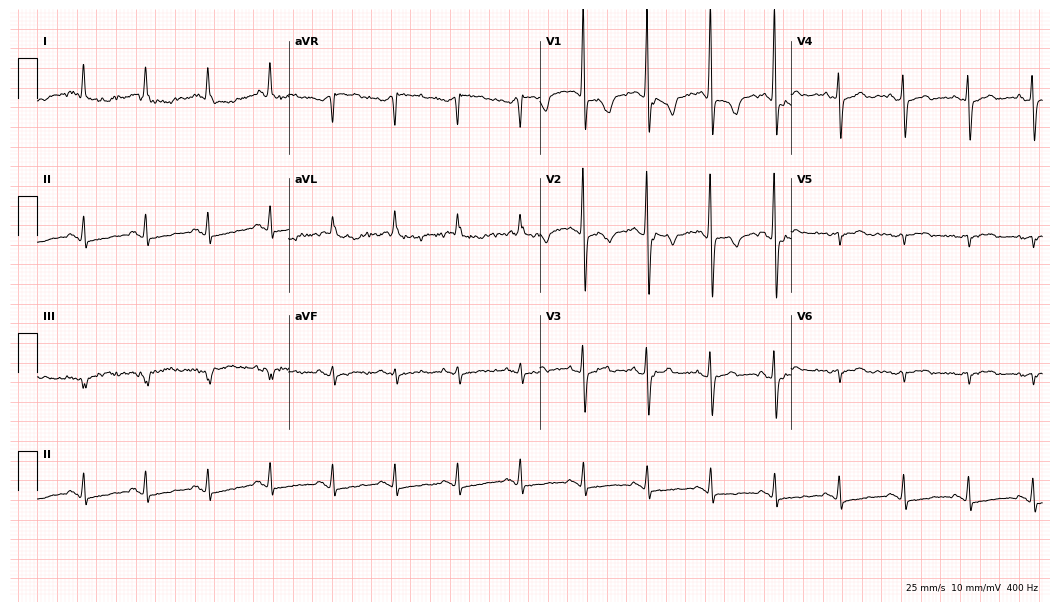
12-lead ECG from a woman, 68 years old. No first-degree AV block, right bundle branch block, left bundle branch block, sinus bradycardia, atrial fibrillation or sinus tachycardia recorded for this tracing. Findings outside these six are not listed.